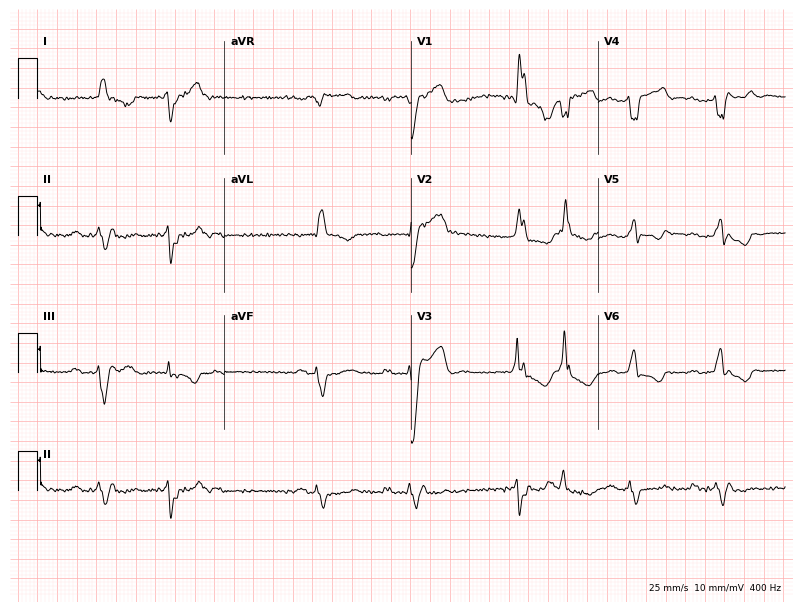
Resting 12-lead electrocardiogram (7.6-second recording at 400 Hz). Patient: a 74-year-old man. None of these six findings is recorded: first-degree AV block, right bundle branch block, left bundle branch block, sinus bradycardia, atrial fibrillation, sinus tachycardia.